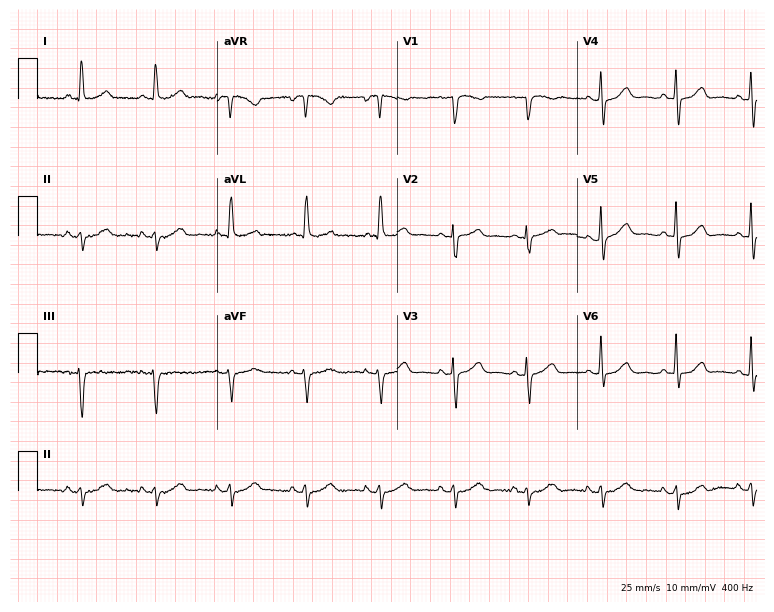
12-lead ECG from a woman, 70 years old (7.3-second recording at 400 Hz). No first-degree AV block, right bundle branch block, left bundle branch block, sinus bradycardia, atrial fibrillation or sinus tachycardia recorded for this tracing.